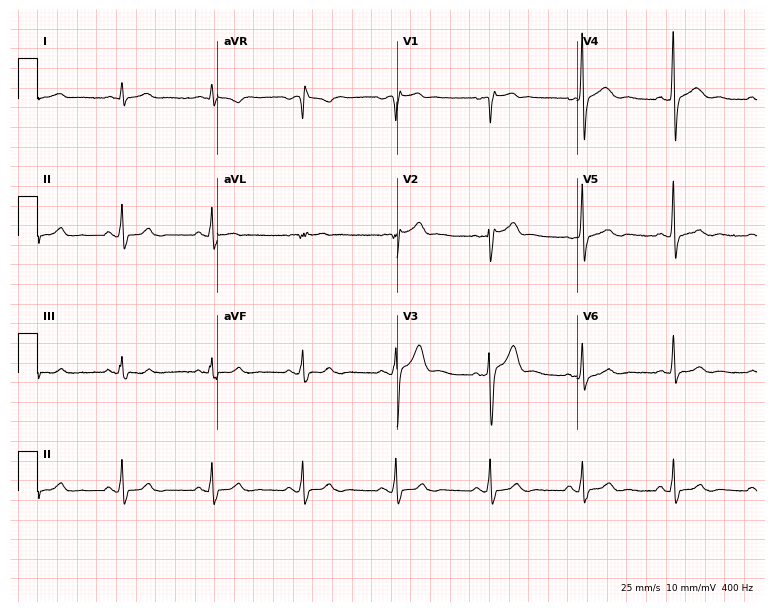
12-lead ECG from a man, 38 years old. No first-degree AV block, right bundle branch block (RBBB), left bundle branch block (LBBB), sinus bradycardia, atrial fibrillation (AF) or sinus tachycardia recorded for this tracing.